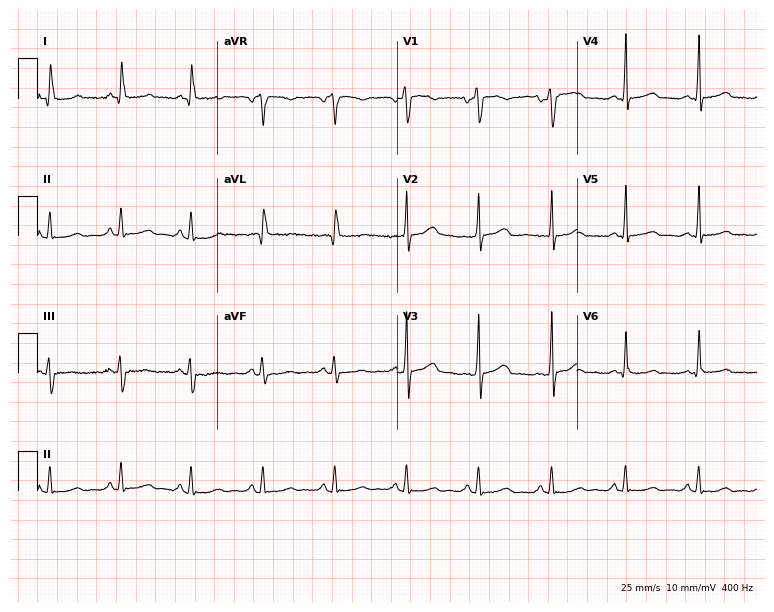
12-lead ECG from a 50-year-old female patient. Screened for six findings — first-degree AV block, right bundle branch block, left bundle branch block, sinus bradycardia, atrial fibrillation, sinus tachycardia — none is recorded.